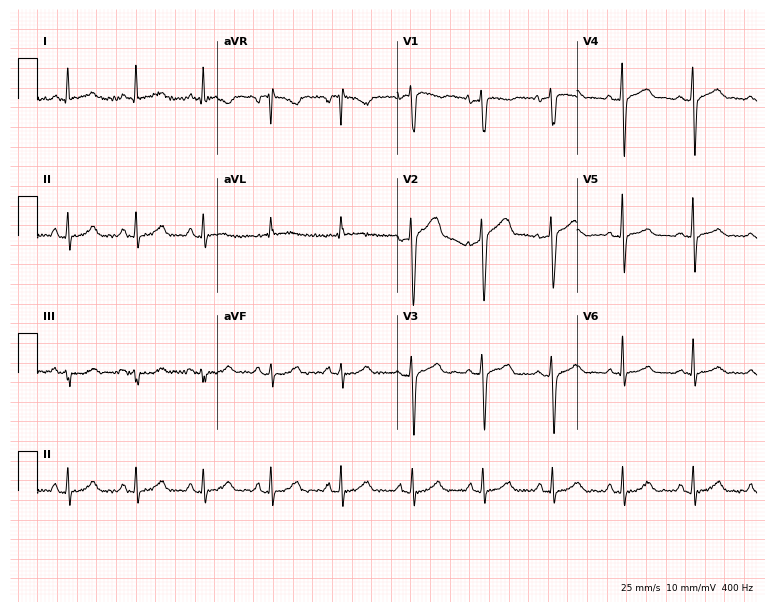
Electrocardiogram (7.3-second recording at 400 Hz), a 37-year-old male. Overall reading on record: normal ECG.